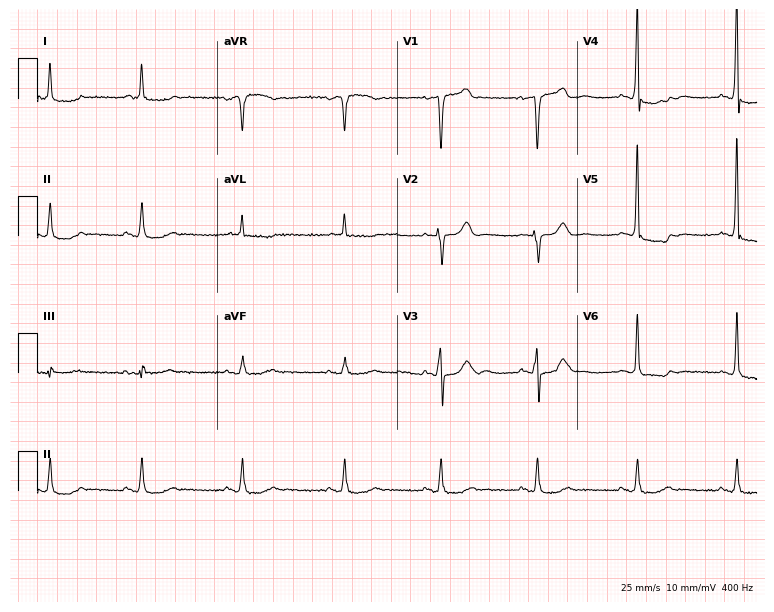
12-lead ECG from an 84-year-old male patient. No first-degree AV block, right bundle branch block, left bundle branch block, sinus bradycardia, atrial fibrillation or sinus tachycardia recorded for this tracing. Findings outside these six are not listed.